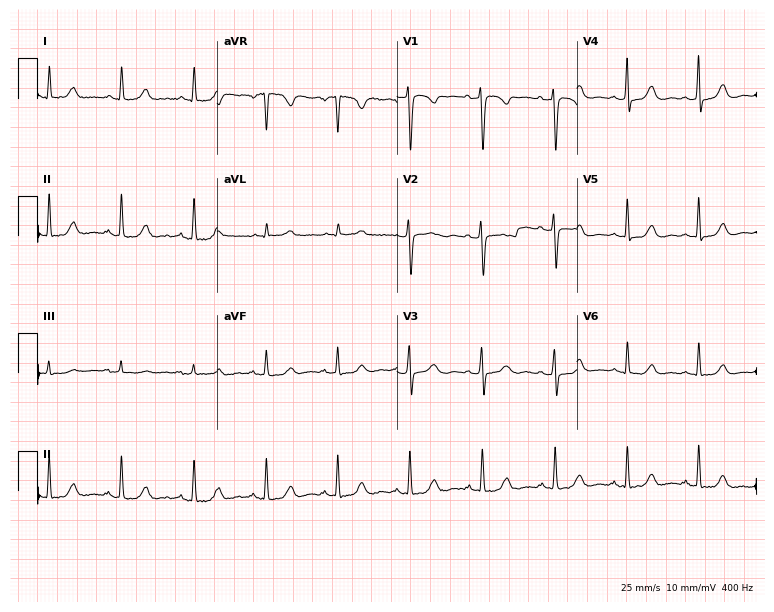
12-lead ECG from a woman, 54 years old. Screened for six findings — first-degree AV block, right bundle branch block, left bundle branch block, sinus bradycardia, atrial fibrillation, sinus tachycardia — none is recorded. Findings outside these six are not listed.